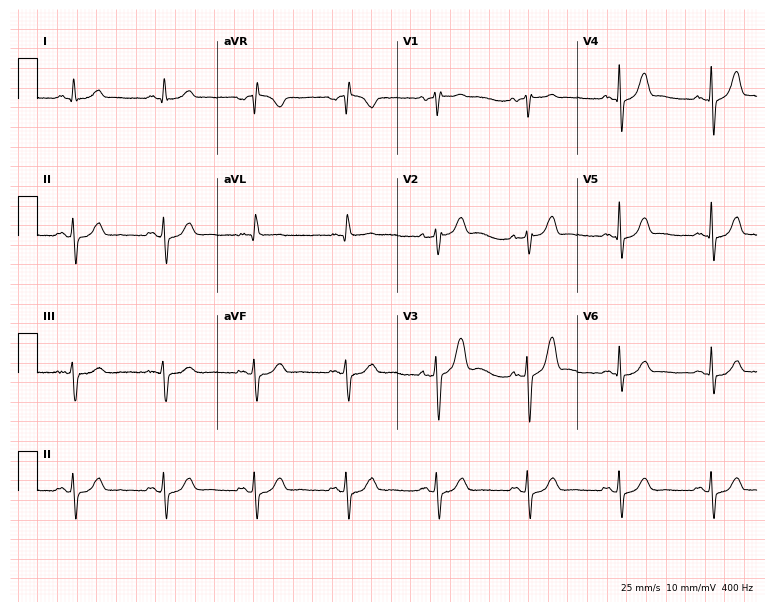
Resting 12-lead electrocardiogram (7.3-second recording at 400 Hz). Patient: a male, 24 years old. None of these six findings is recorded: first-degree AV block, right bundle branch block, left bundle branch block, sinus bradycardia, atrial fibrillation, sinus tachycardia. Findings outside these six are not listed.